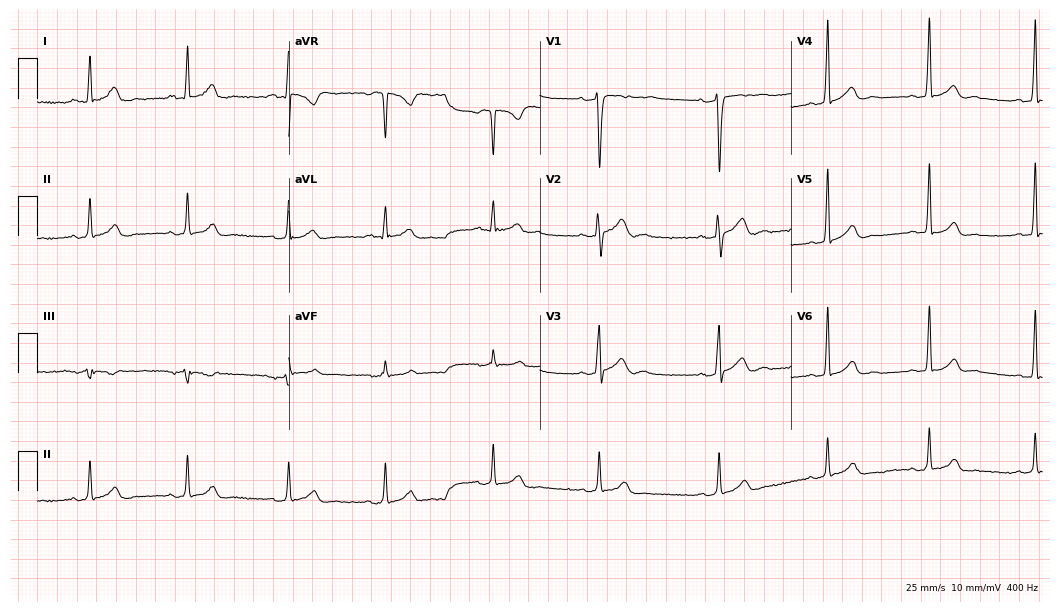
12-lead ECG (10.2-second recording at 400 Hz) from a man, 27 years old. Labelled as a normal ECG.